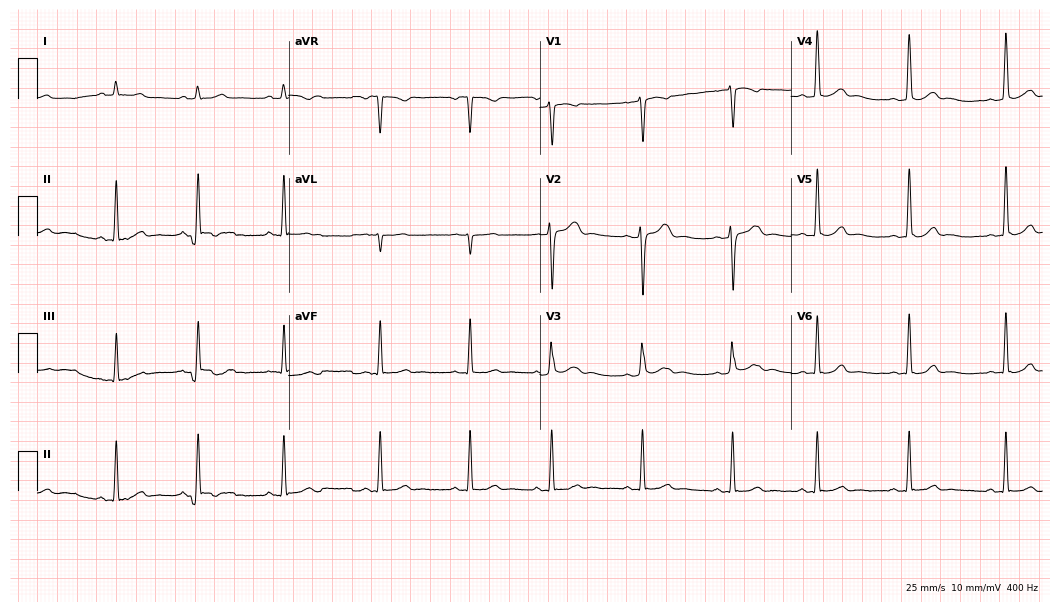
Resting 12-lead electrocardiogram (10.2-second recording at 400 Hz). Patient: a 33-year-old female. None of these six findings is recorded: first-degree AV block, right bundle branch block, left bundle branch block, sinus bradycardia, atrial fibrillation, sinus tachycardia.